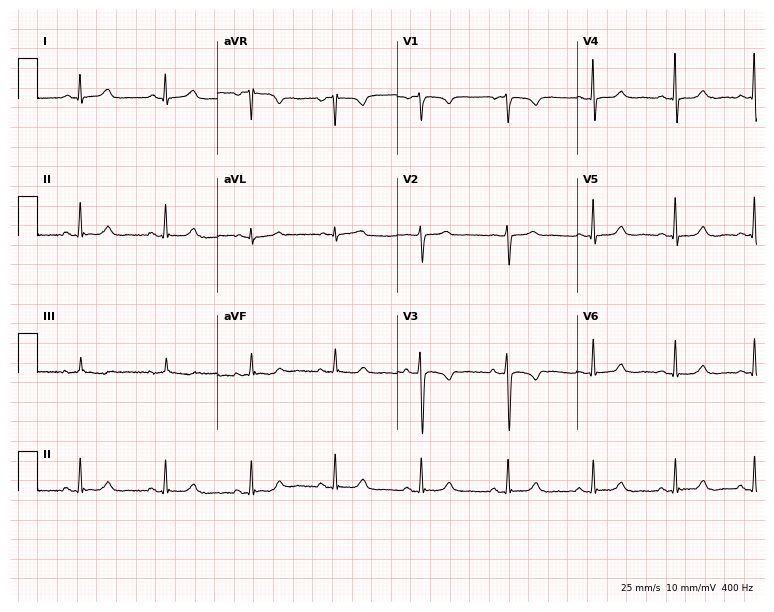
Electrocardiogram (7.3-second recording at 400 Hz), a female patient, 35 years old. Overall reading on record: normal ECG.